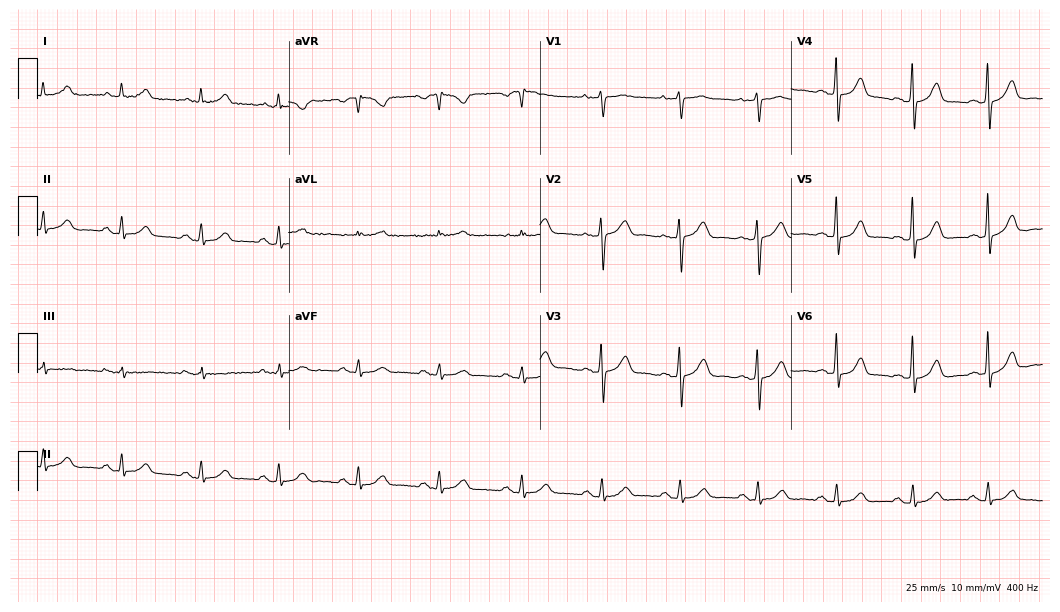
Standard 12-lead ECG recorded from a female patient, 65 years old. Read as a normal ECG.